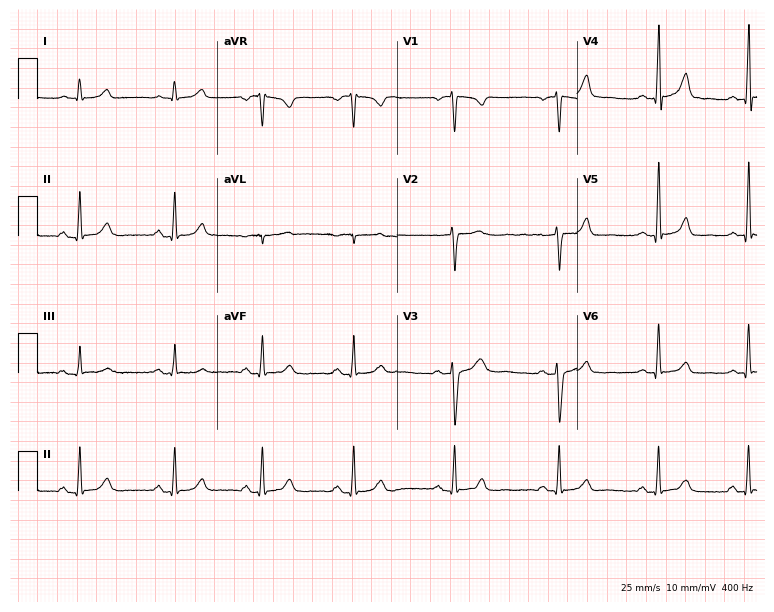
ECG — a 17-year-old female patient. Labelled as a normal ECG.